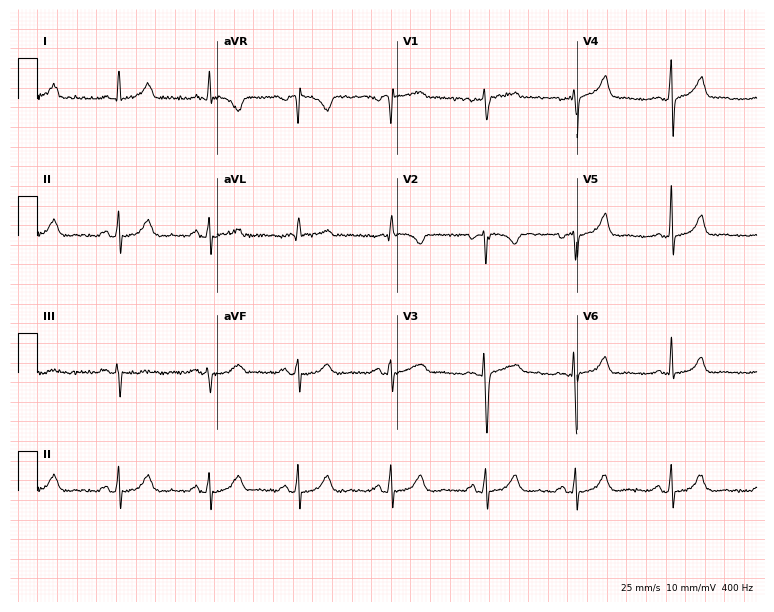
Electrocardiogram, a female, 46 years old. Of the six screened findings (first-degree AV block, right bundle branch block, left bundle branch block, sinus bradycardia, atrial fibrillation, sinus tachycardia), none is recorded.